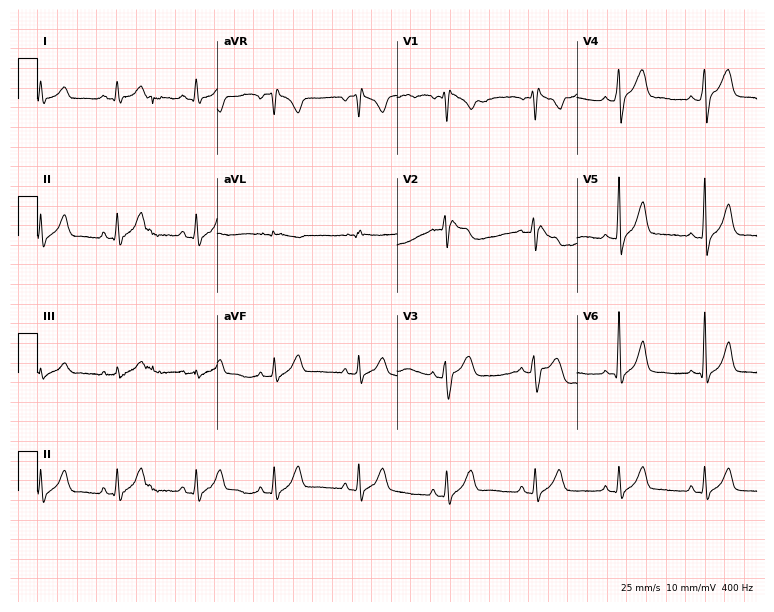
ECG (7.3-second recording at 400 Hz) — a male, 32 years old. Screened for six findings — first-degree AV block, right bundle branch block, left bundle branch block, sinus bradycardia, atrial fibrillation, sinus tachycardia — none is recorded.